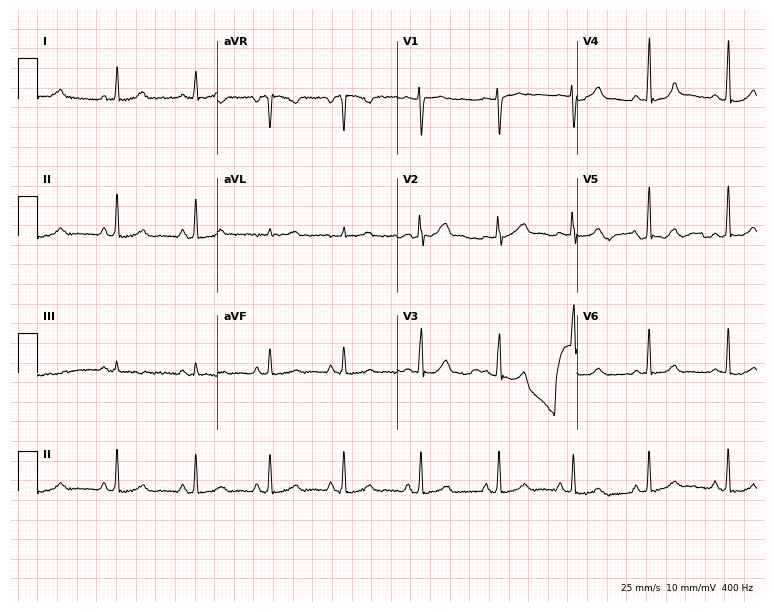
12-lead ECG (7.3-second recording at 400 Hz) from a female, 34 years old. Labelled as a normal ECG.